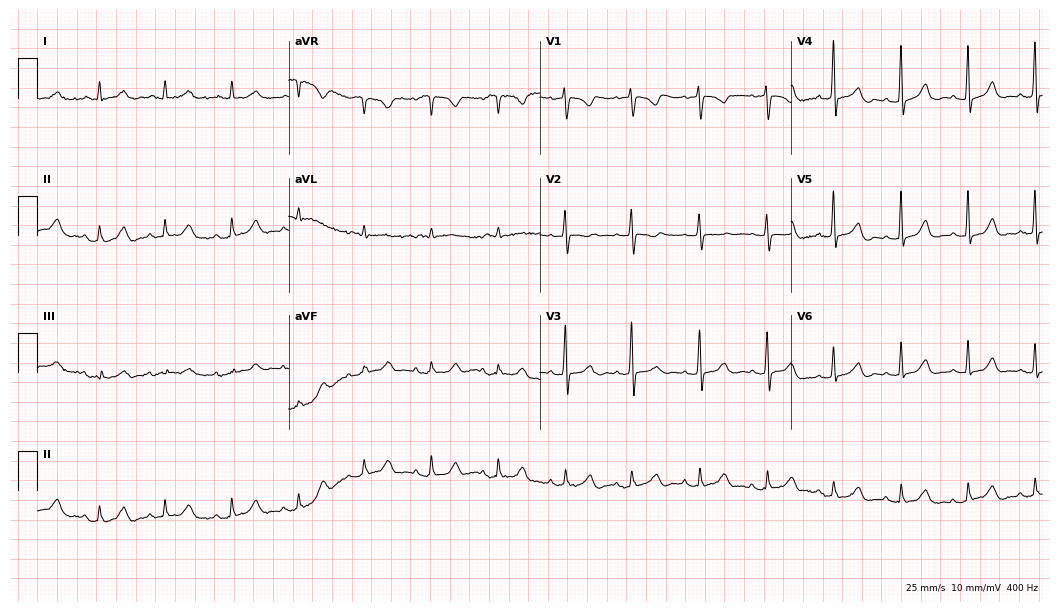
Standard 12-lead ECG recorded from a female, 73 years old (10.2-second recording at 400 Hz). None of these six findings is recorded: first-degree AV block, right bundle branch block, left bundle branch block, sinus bradycardia, atrial fibrillation, sinus tachycardia.